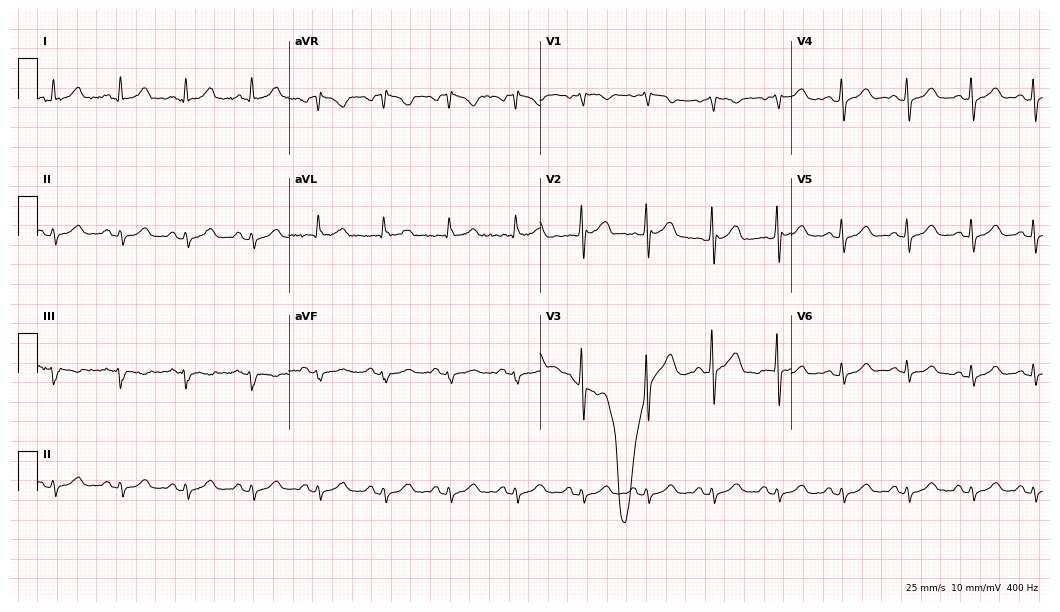
12-lead ECG from a woman, 72 years old. Screened for six findings — first-degree AV block, right bundle branch block, left bundle branch block, sinus bradycardia, atrial fibrillation, sinus tachycardia — none is recorded.